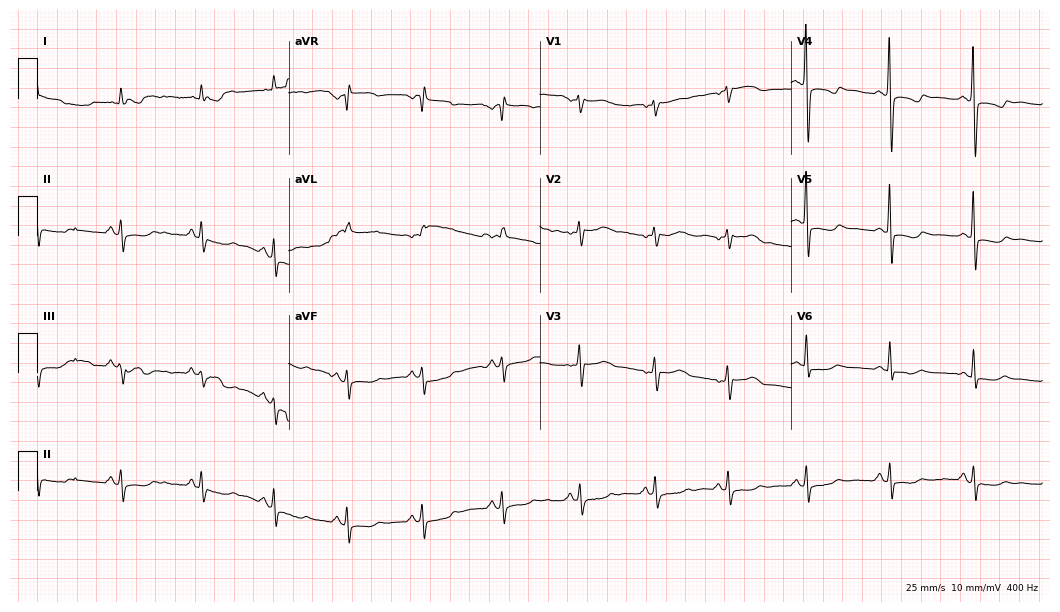
Resting 12-lead electrocardiogram (10.2-second recording at 400 Hz). Patient: a woman, 51 years old. None of these six findings is recorded: first-degree AV block, right bundle branch block, left bundle branch block, sinus bradycardia, atrial fibrillation, sinus tachycardia.